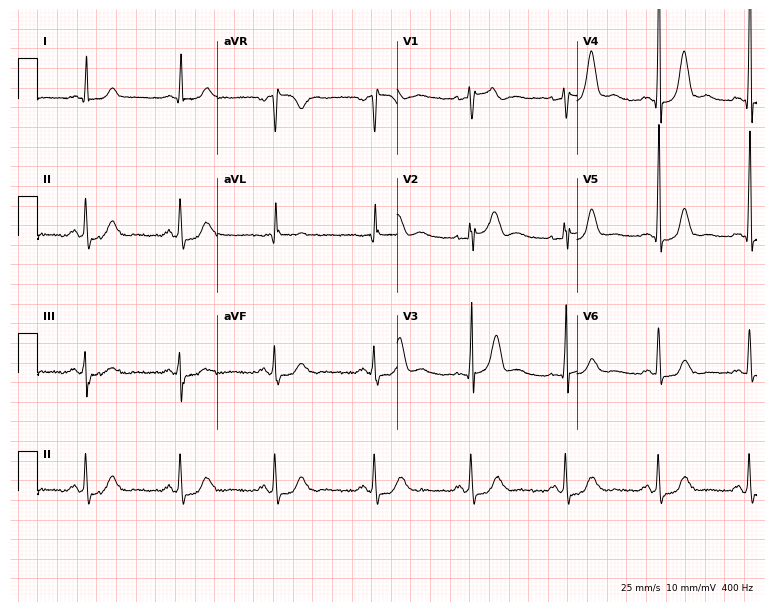
Resting 12-lead electrocardiogram. Patient: a 56-year-old male. None of these six findings is recorded: first-degree AV block, right bundle branch block, left bundle branch block, sinus bradycardia, atrial fibrillation, sinus tachycardia. Findings outside these six are not listed.